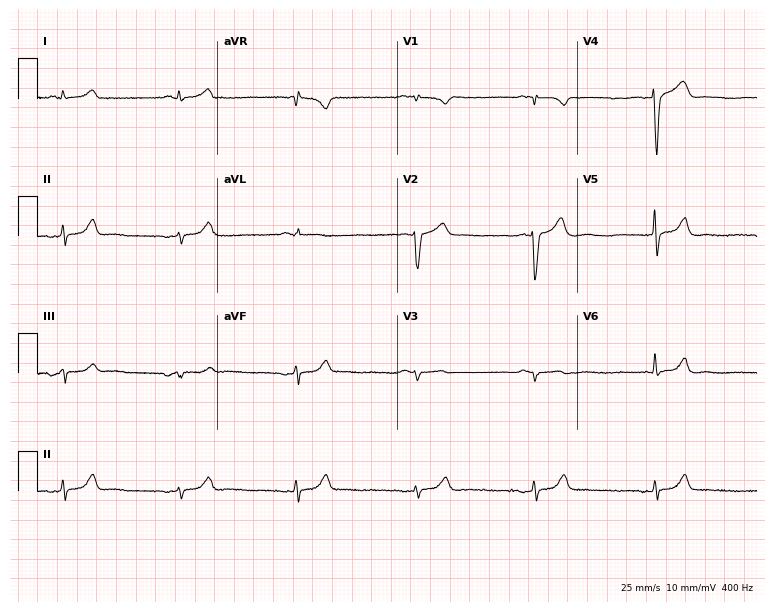
12-lead ECG from a man, 32 years old. Labelled as a normal ECG.